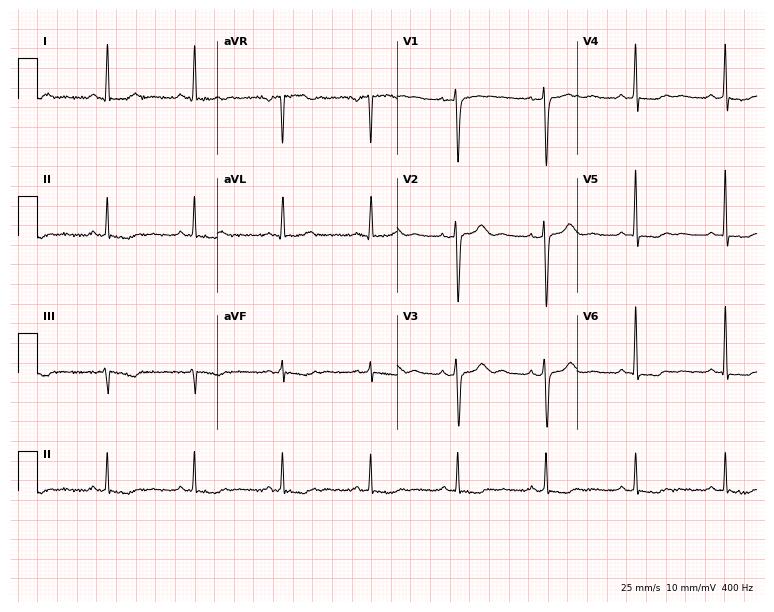
Standard 12-lead ECG recorded from a female patient, 56 years old. None of these six findings is recorded: first-degree AV block, right bundle branch block (RBBB), left bundle branch block (LBBB), sinus bradycardia, atrial fibrillation (AF), sinus tachycardia. Findings outside these six are not listed.